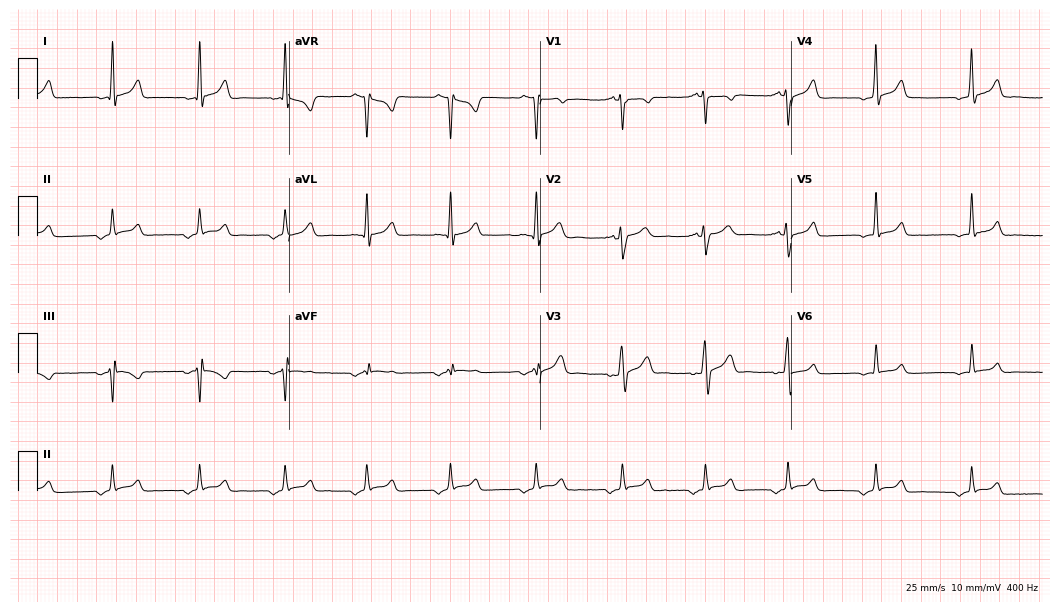
ECG — a 36-year-old male patient. Screened for six findings — first-degree AV block, right bundle branch block, left bundle branch block, sinus bradycardia, atrial fibrillation, sinus tachycardia — none is recorded.